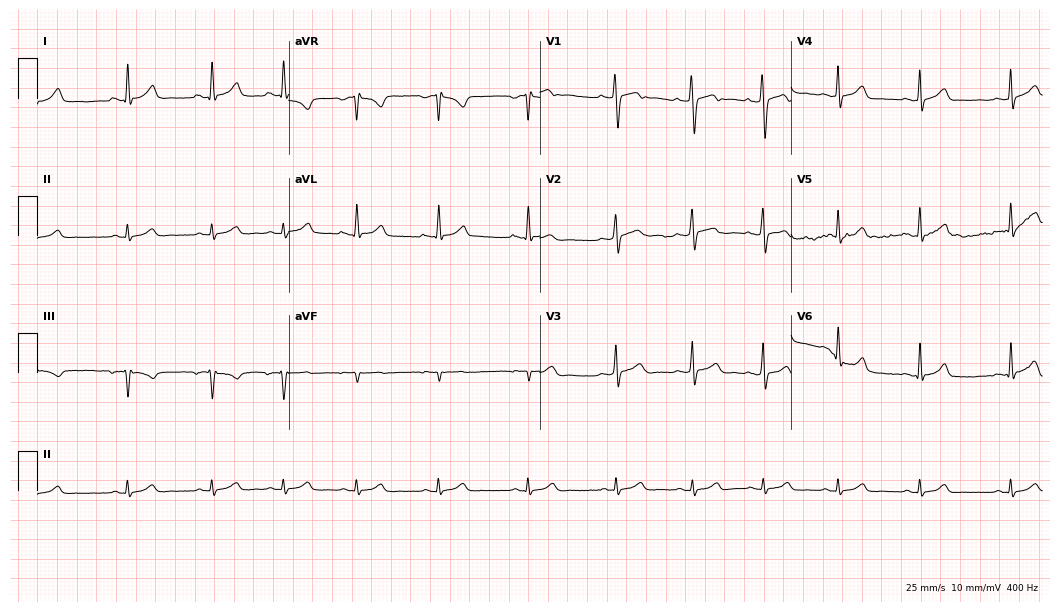
Resting 12-lead electrocardiogram (10.2-second recording at 400 Hz). Patient: a 17-year-old female. Read as a normal ECG.